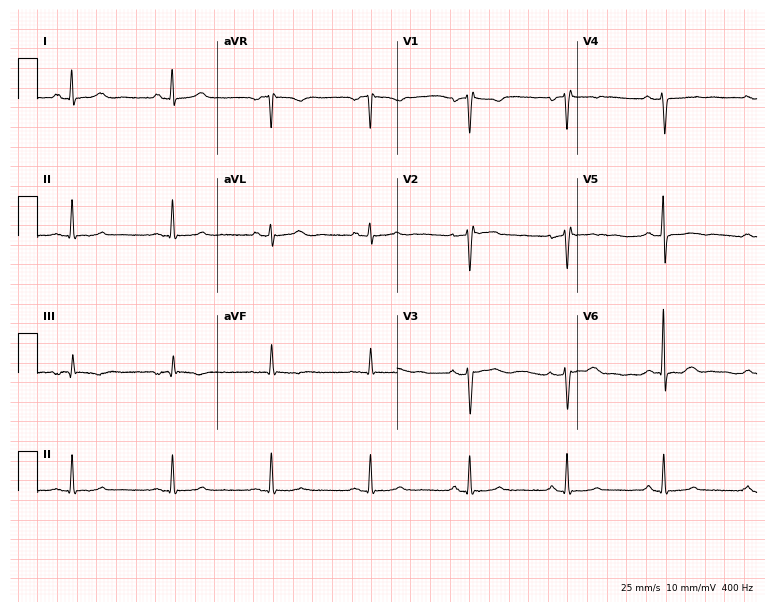
12-lead ECG (7.3-second recording at 400 Hz) from a 44-year-old woman. Labelled as a normal ECG.